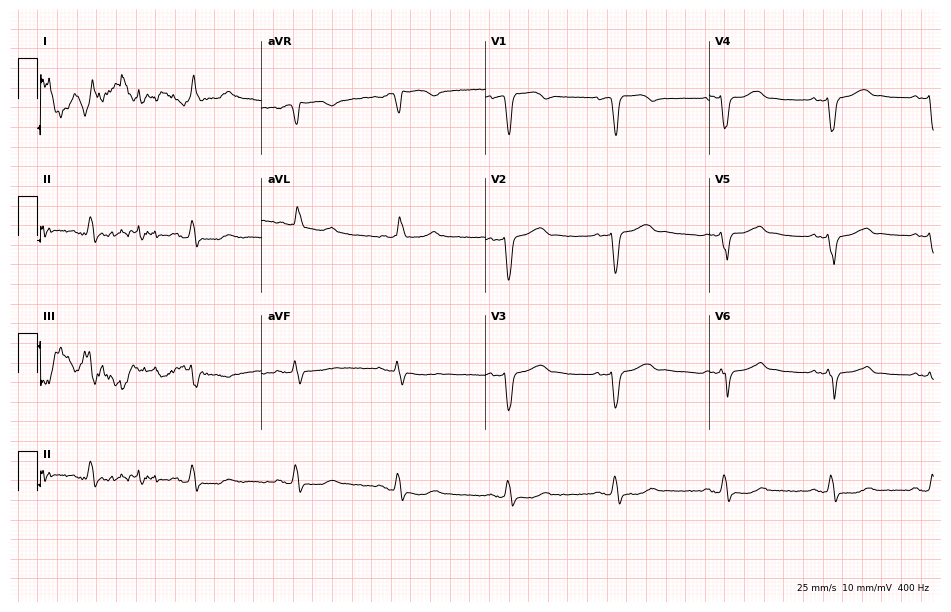
12-lead ECG from a female, 71 years old (9.1-second recording at 400 Hz). Shows left bundle branch block (LBBB).